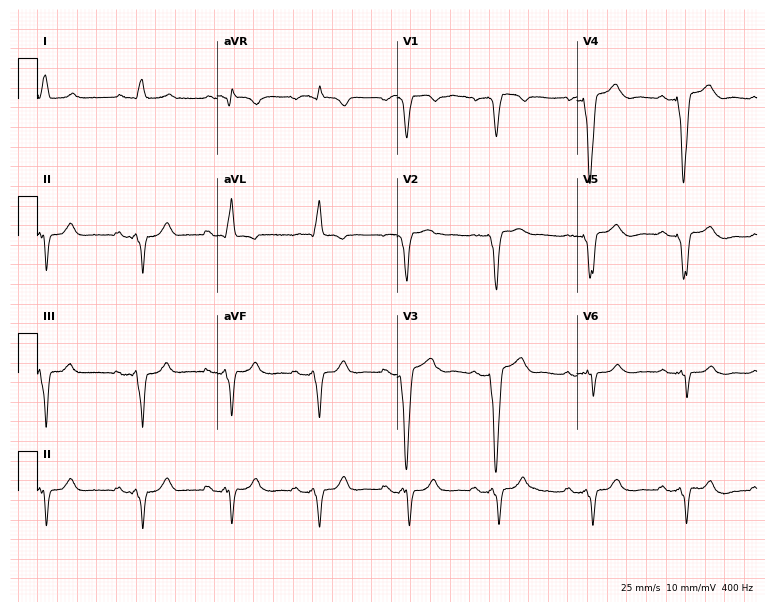
Electrocardiogram, a 62-year-old woman. Of the six screened findings (first-degree AV block, right bundle branch block (RBBB), left bundle branch block (LBBB), sinus bradycardia, atrial fibrillation (AF), sinus tachycardia), none is recorded. Findings outside these six are not listed.